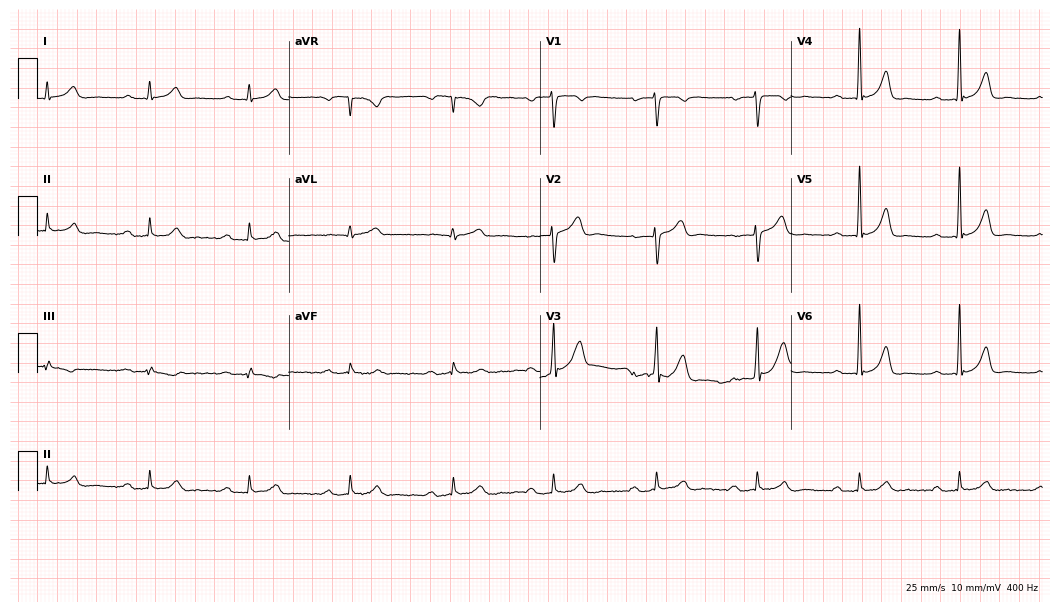
ECG — a man, 45 years old. Findings include first-degree AV block.